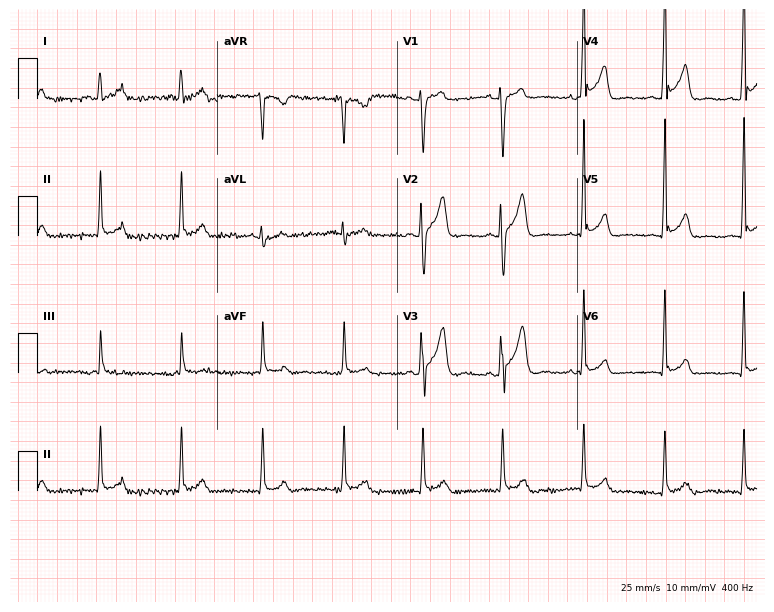
Resting 12-lead electrocardiogram. Patient: a 29-year-old man. Read as a normal ECG.